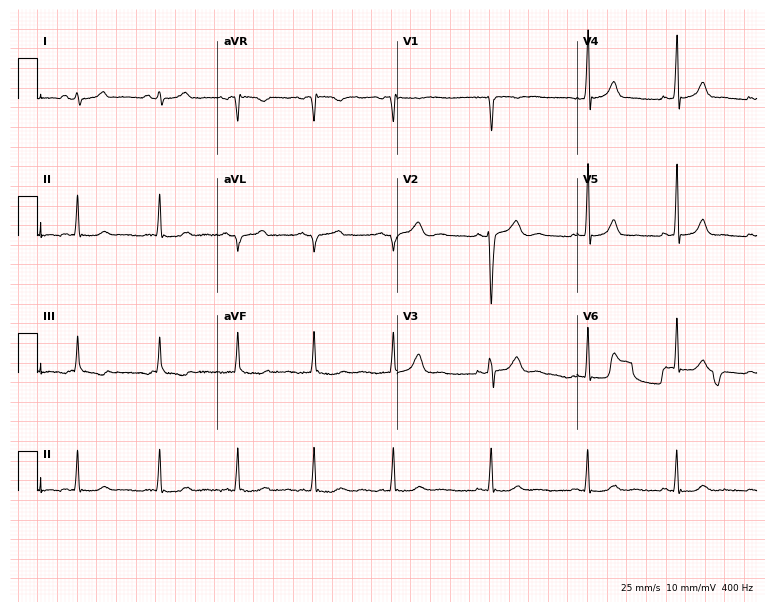
12-lead ECG from a 21-year-old woman (7.3-second recording at 400 Hz). No first-degree AV block, right bundle branch block, left bundle branch block, sinus bradycardia, atrial fibrillation or sinus tachycardia recorded for this tracing.